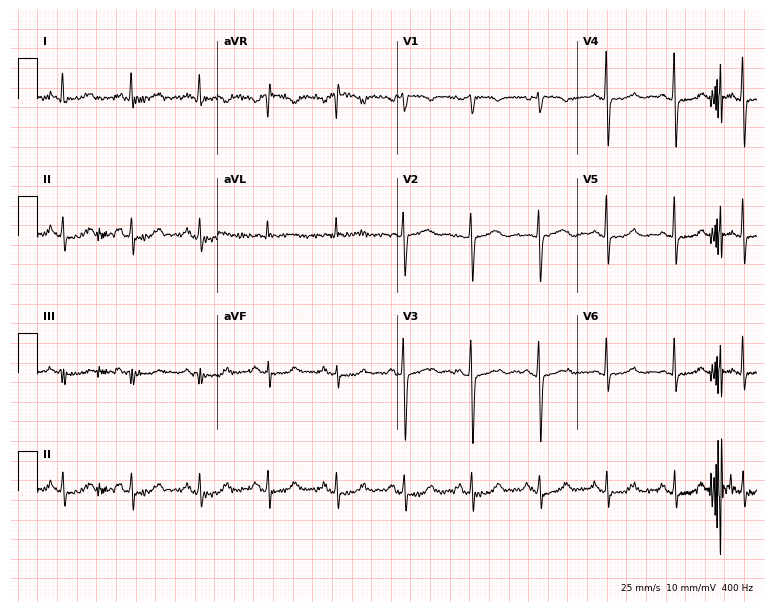
Resting 12-lead electrocardiogram. Patient: a female, 71 years old. None of these six findings is recorded: first-degree AV block, right bundle branch block, left bundle branch block, sinus bradycardia, atrial fibrillation, sinus tachycardia. Findings outside these six are not listed.